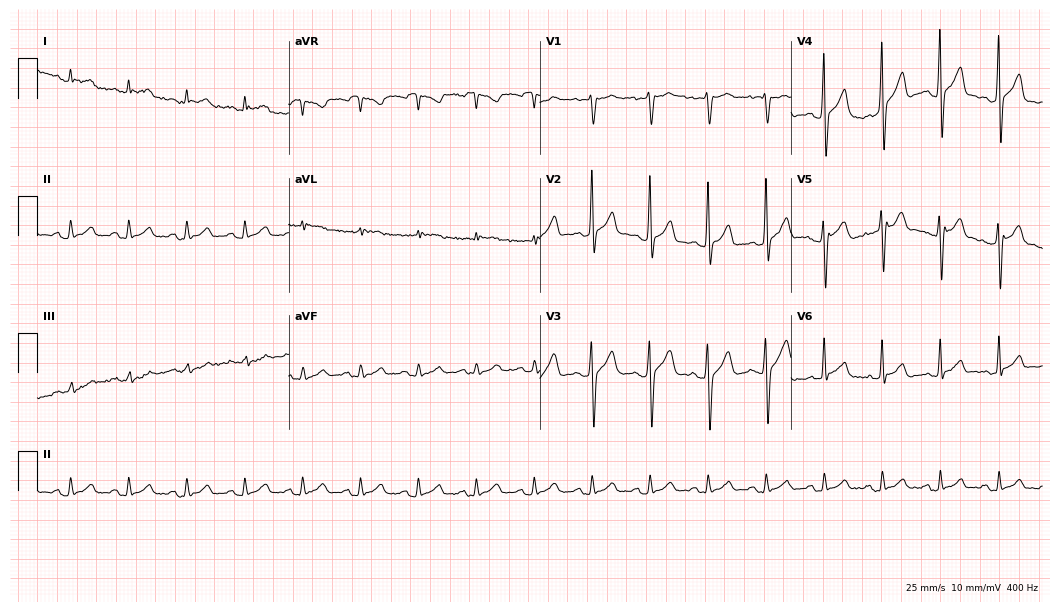
Standard 12-lead ECG recorded from a male, 63 years old (10.2-second recording at 400 Hz). Read as a normal ECG.